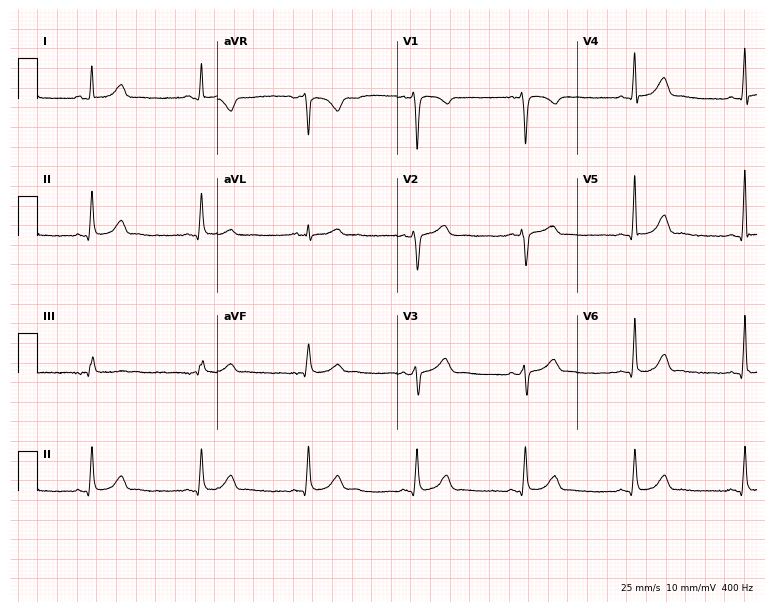
Resting 12-lead electrocardiogram. Patient: a male, 52 years old. Read as a normal ECG.